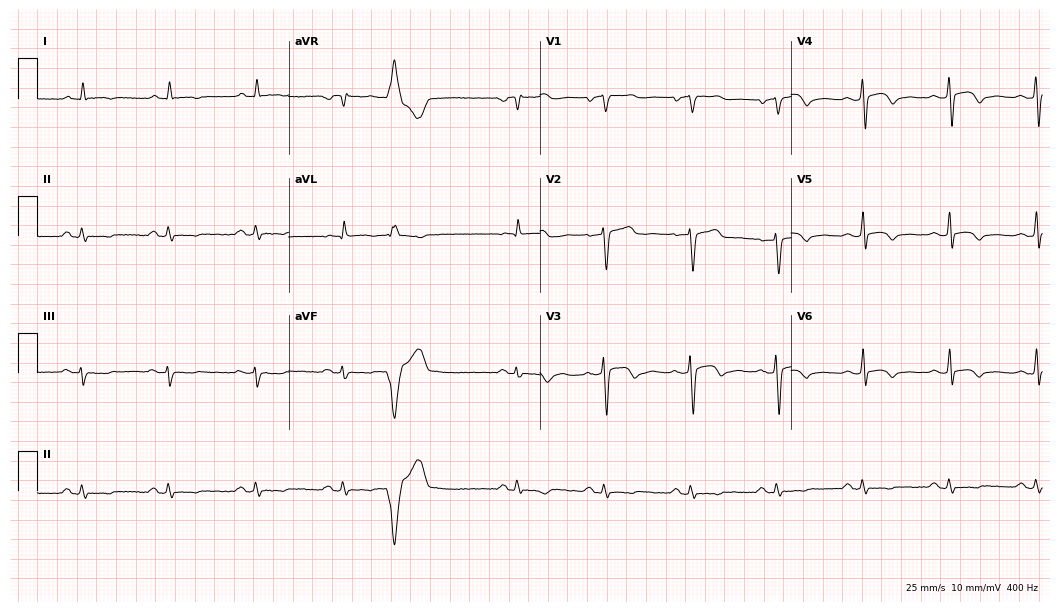
12-lead ECG from a 69-year-old man. No first-degree AV block, right bundle branch block, left bundle branch block, sinus bradycardia, atrial fibrillation or sinus tachycardia recorded for this tracing.